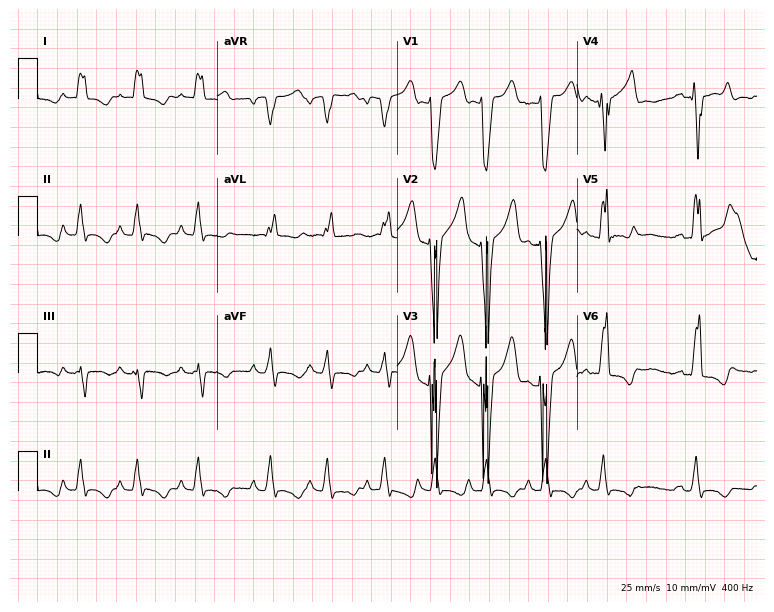
Resting 12-lead electrocardiogram (7.3-second recording at 400 Hz). Patient: a 57-year-old man. The tracing shows first-degree AV block, left bundle branch block.